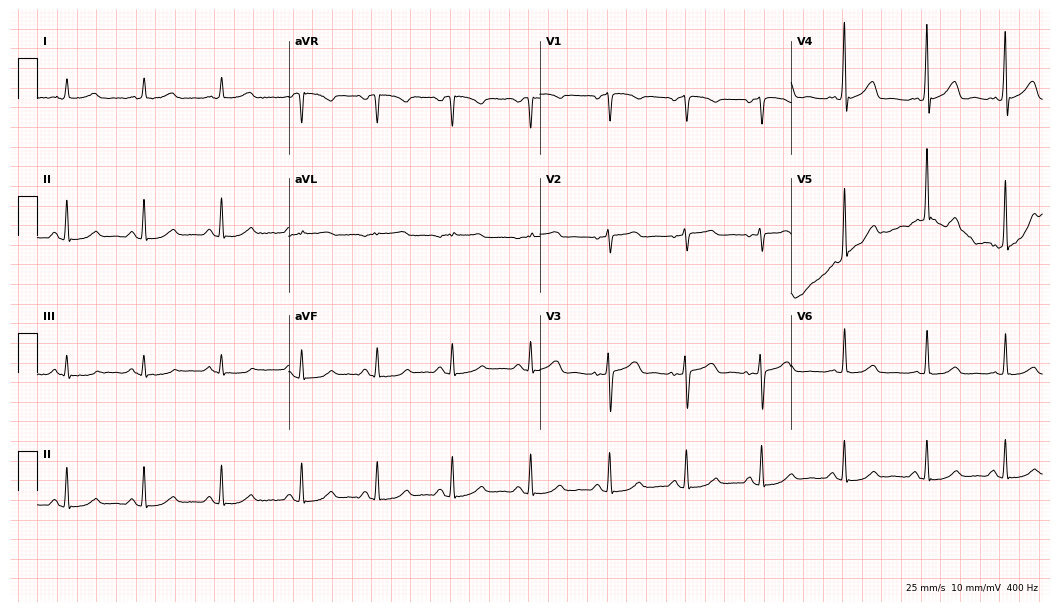
12-lead ECG from a female patient, 72 years old. Recorded interpretation: within normal limits.